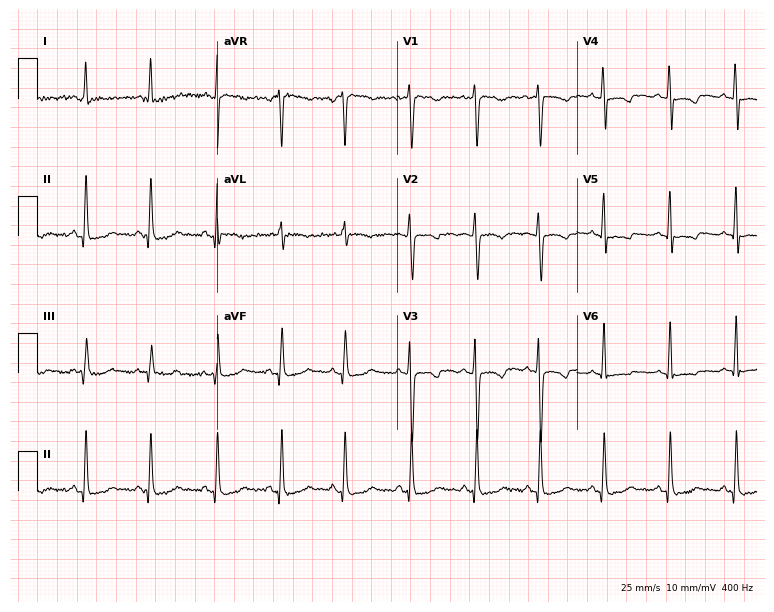
Standard 12-lead ECG recorded from a 19-year-old female patient (7.3-second recording at 400 Hz). None of these six findings is recorded: first-degree AV block, right bundle branch block, left bundle branch block, sinus bradycardia, atrial fibrillation, sinus tachycardia.